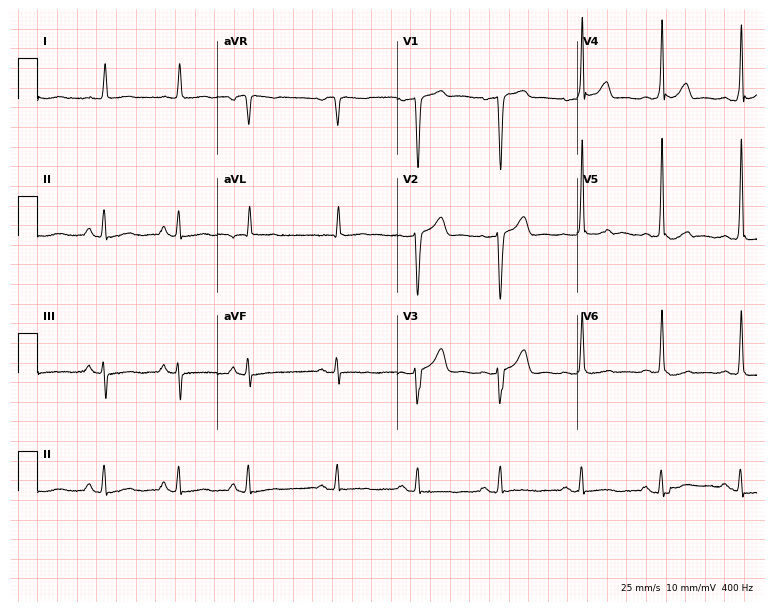
12-lead ECG from a male patient, 48 years old. Labelled as a normal ECG.